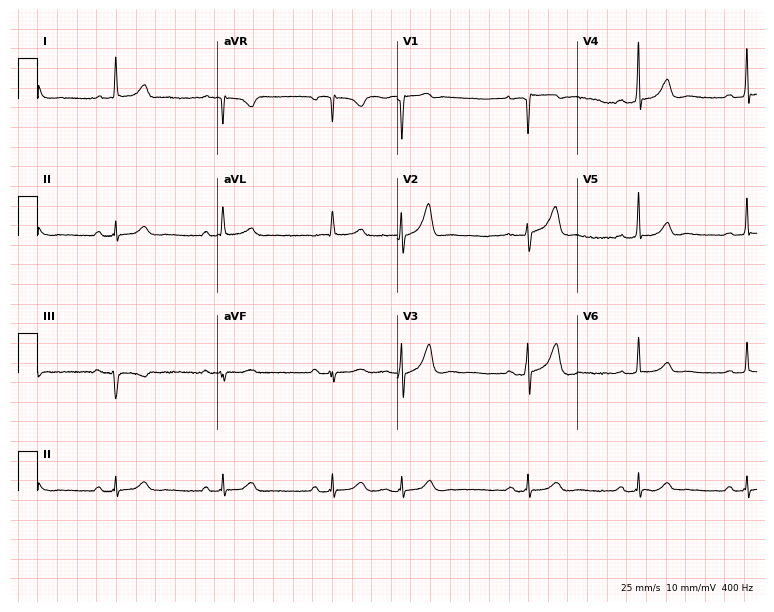
Resting 12-lead electrocardiogram (7.3-second recording at 400 Hz). Patient: a 78-year-old male. Read as a normal ECG.